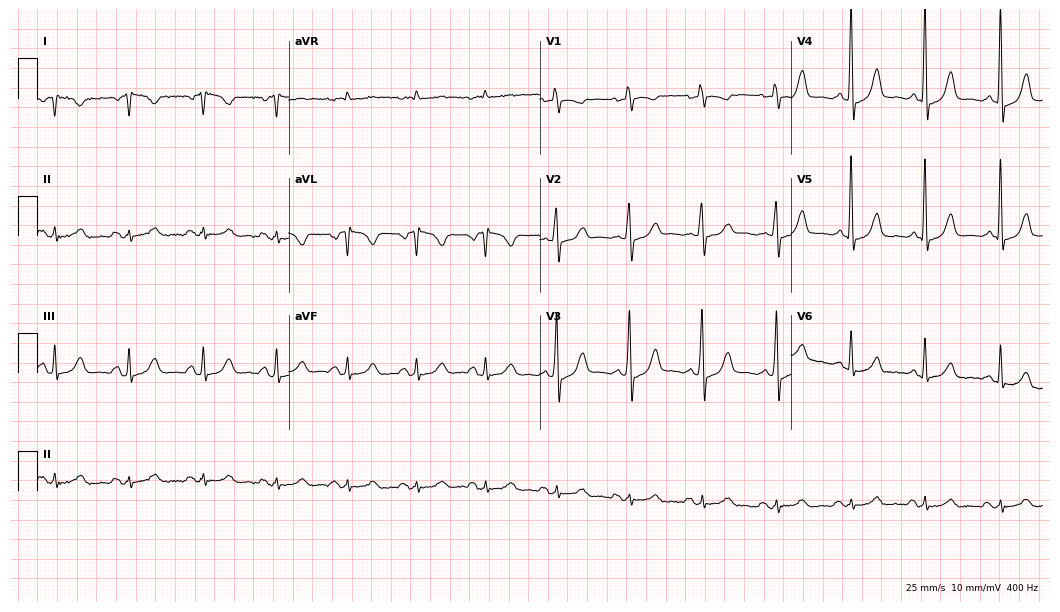
12-lead ECG (10.2-second recording at 400 Hz) from a woman, 64 years old. Screened for six findings — first-degree AV block, right bundle branch block, left bundle branch block, sinus bradycardia, atrial fibrillation, sinus tachycardia — none is recorded.